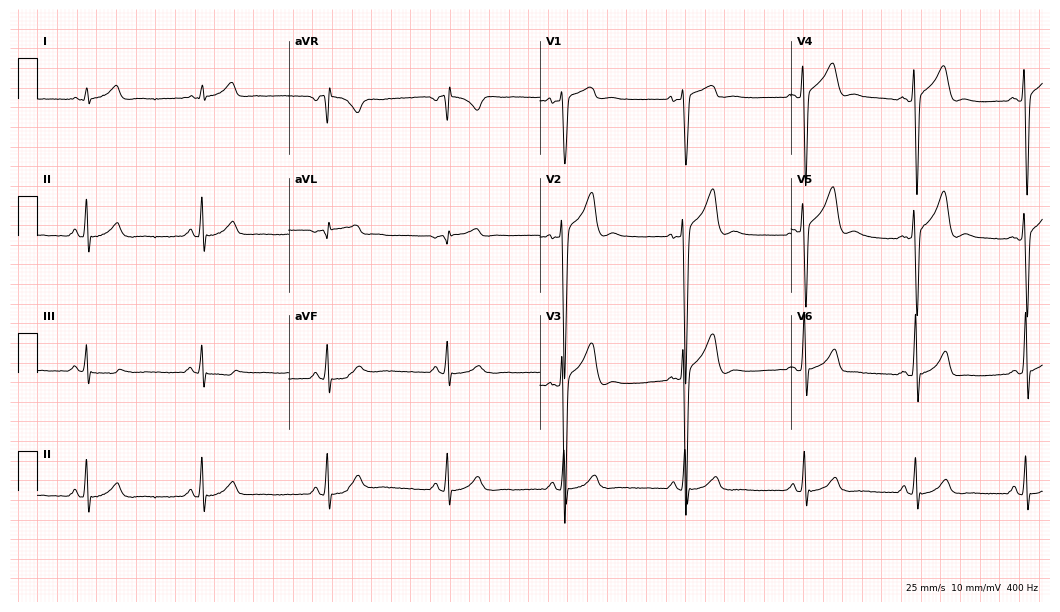
Electrocardiogram (10.2-second recording at 400 Hz), a male patient, 29 years old. Overall reading on record: normal ECG.